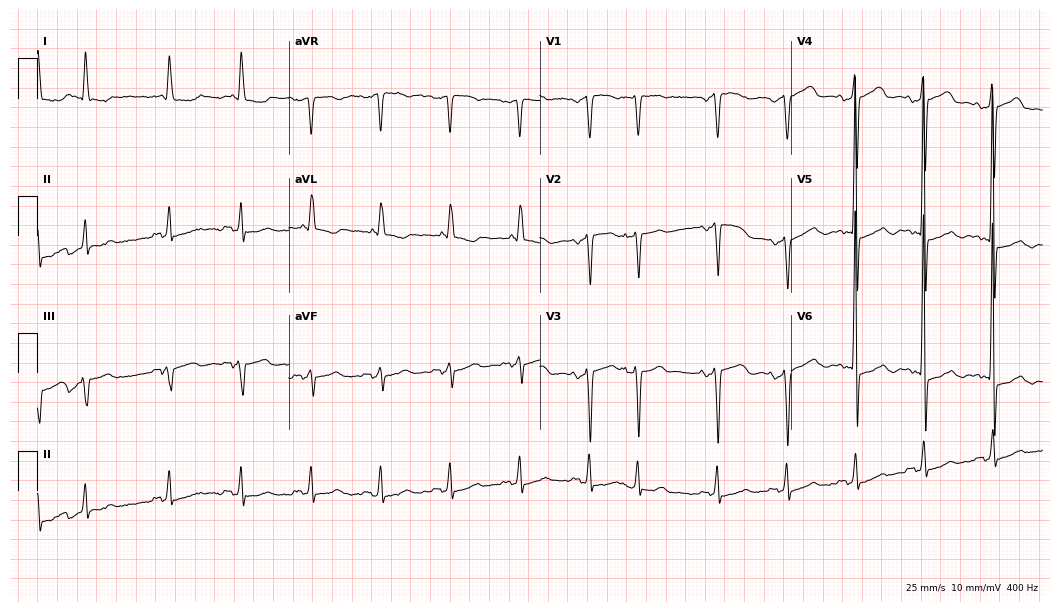
Resting 12-lead electrocardiogram (10.2-second recording at 400 Hz). Patient: a 75-year-old female. None of these six findings is recorded: first-degree AV block, right bundle branch block, left bundle branch block, sinus bradycardia, atrial fibrillation, sinus tachycardia.